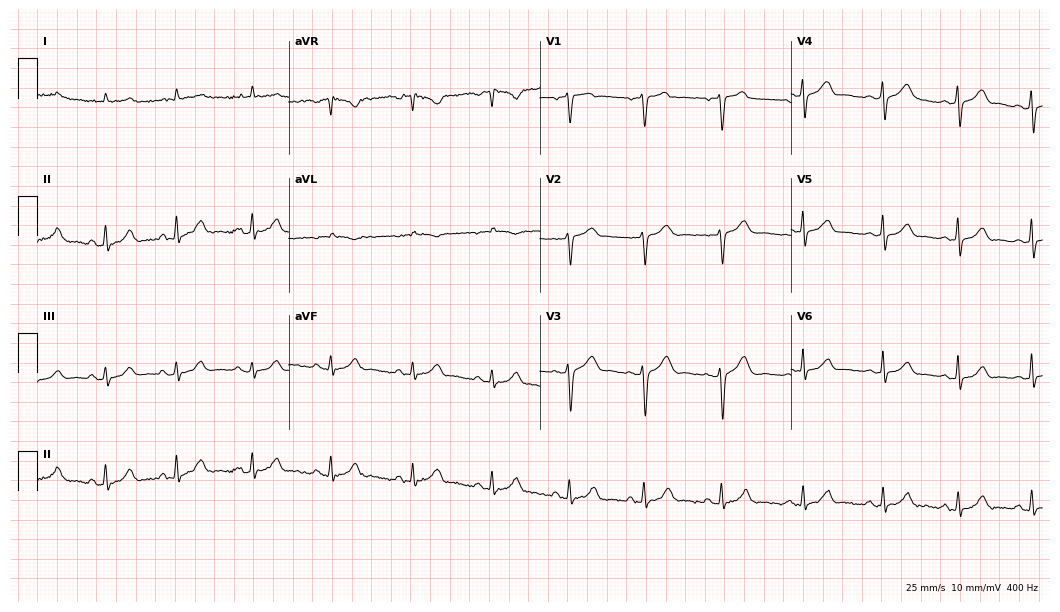
ECG (10.2-second recording at 400 Hz) — a 46-year-old female patient. Labelled as a normal ECG.